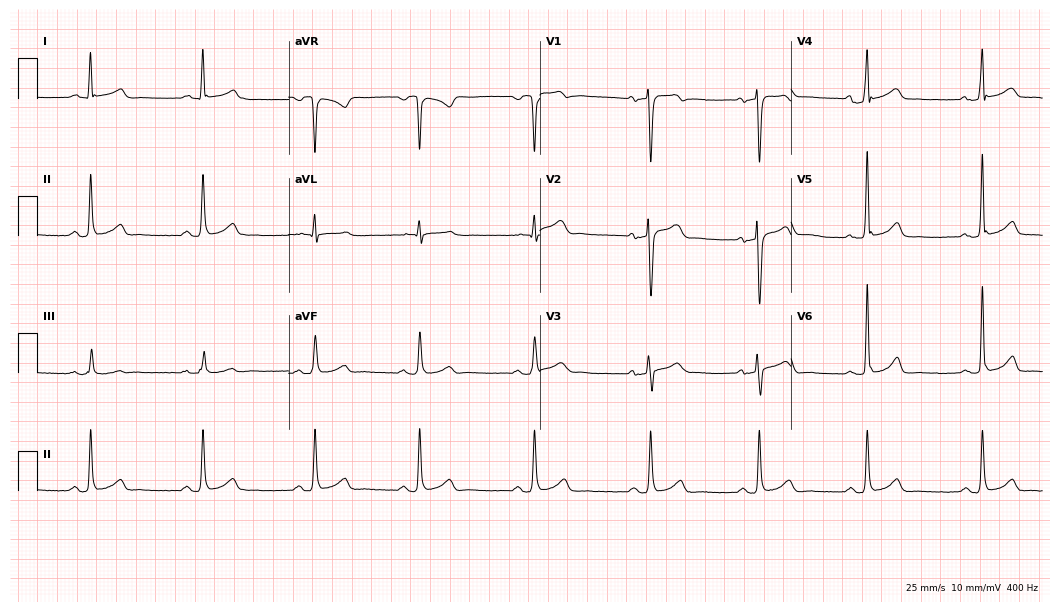
12-lead ECG (10.2-second recording at 400 Hz) from a male patient, 54 years old. Labelled as a normal ECG.